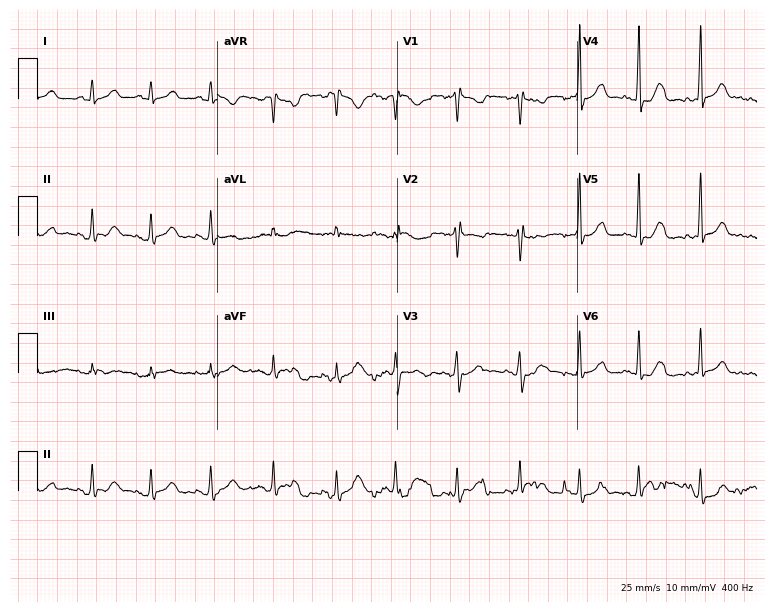
12-lead ECG (7.3-second recording at 400 Hz) from a 21-year-old female. Screened for six findings — first-degree AV block, right bundle branch block (RBBB), left bundle branch block (LBBB), sinus bradycardia, atrial fibrillation (AF), sinus tachycardia — none is recorded. Other findings, if any, are not listed.